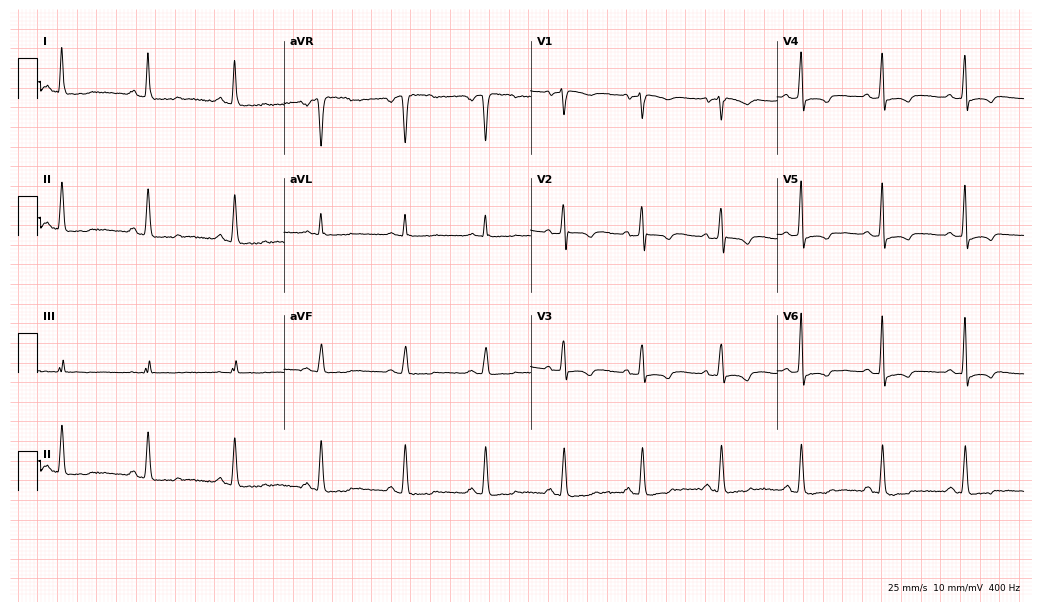
12-lead ECG from a man, 52 years old. Labelled as a normal ECG.